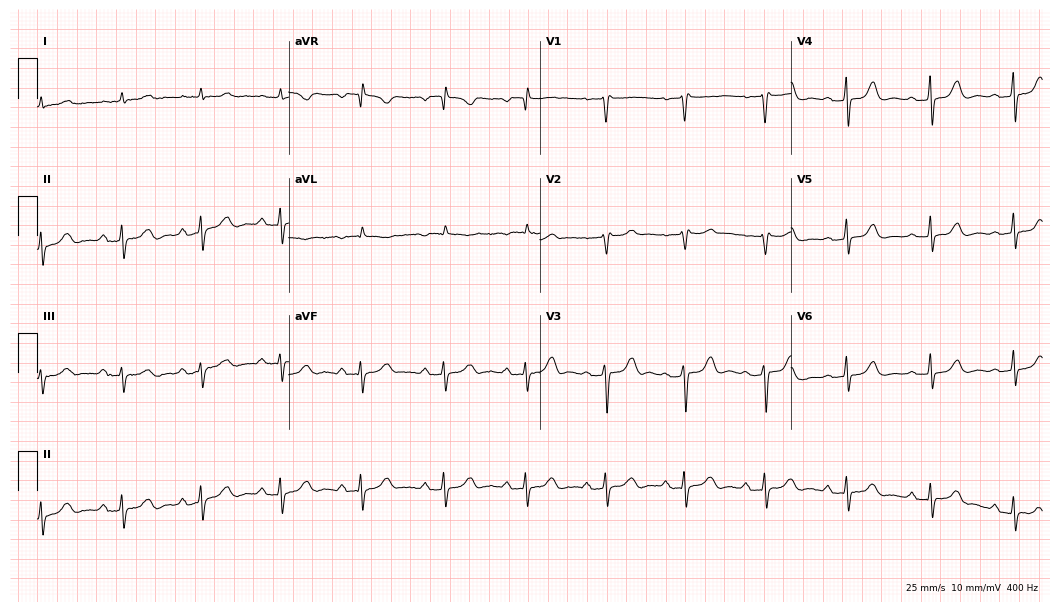
ECG (10.2-second recording at 400 Hz) — a 78-year-old female patient. Screened for six findings — first-degree AV block, right bundle branch block (RBBB), left bundle branch block (LBBB), sinus bradycardia, atrial fibrillation (AF), sinus tachycardia — none is recorded. Findings outside these six are not listed.